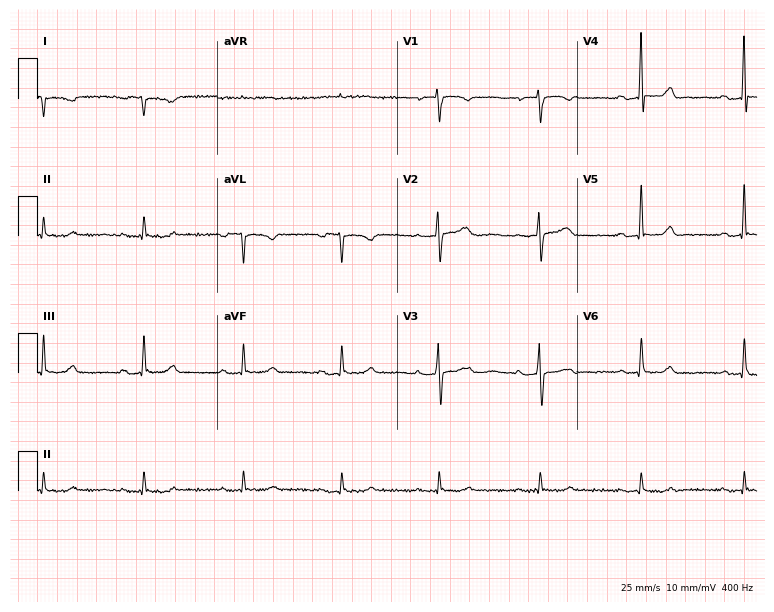
12-lead ECG from a 44-year-old female. No first-degree AV block, right bundle branch block, left bundle branch block, sinus bradycardia, atrial fibrillation or sinus tachycardia recorded for this tracing.